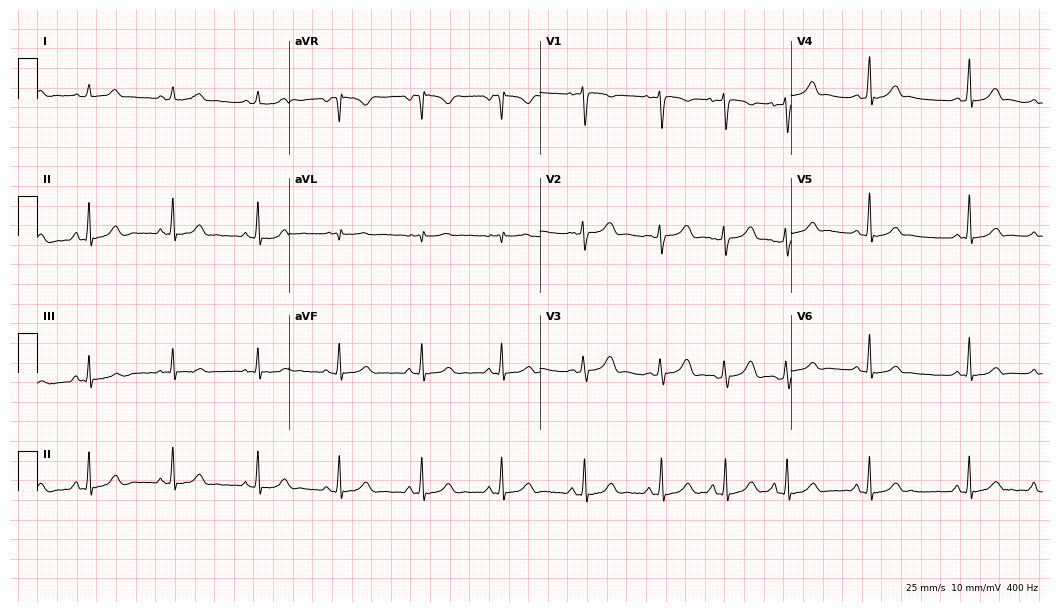
ECG — a 21-year-old female patient. Labelled as a normal ECG.